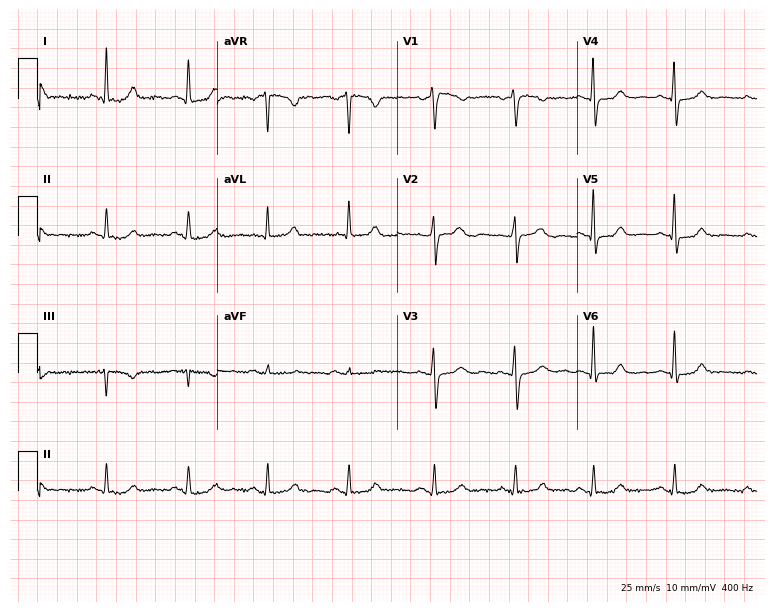
12-lead ECG from a 47-year-old woman. Labelled as a normal ECG.